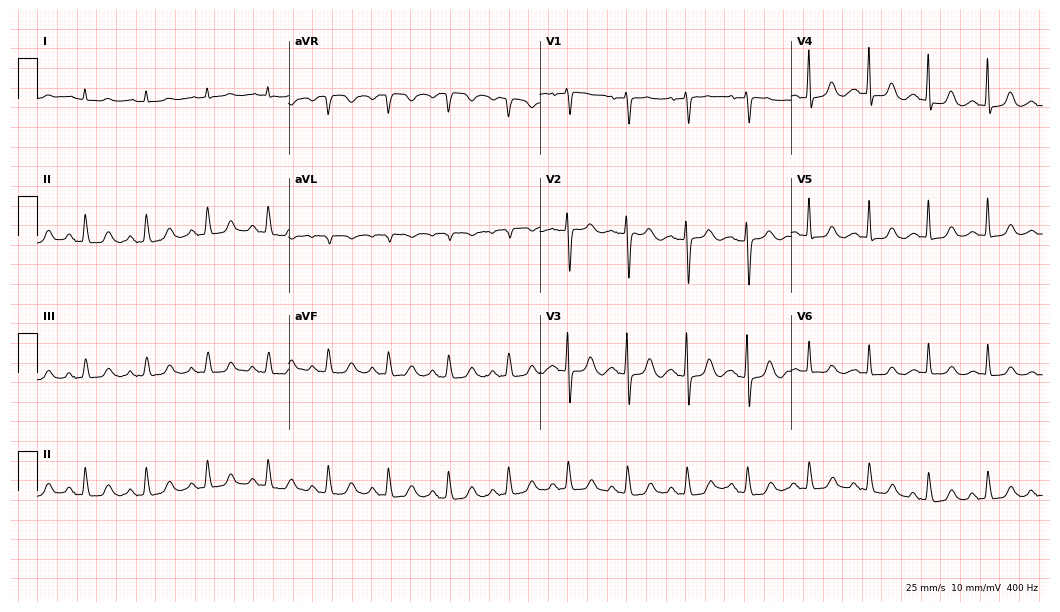
Resting 12-lead electrocardiogram (10.2-second recording at 400 Hz). Patient: a male, 71 years old. Read as a normal ECG.